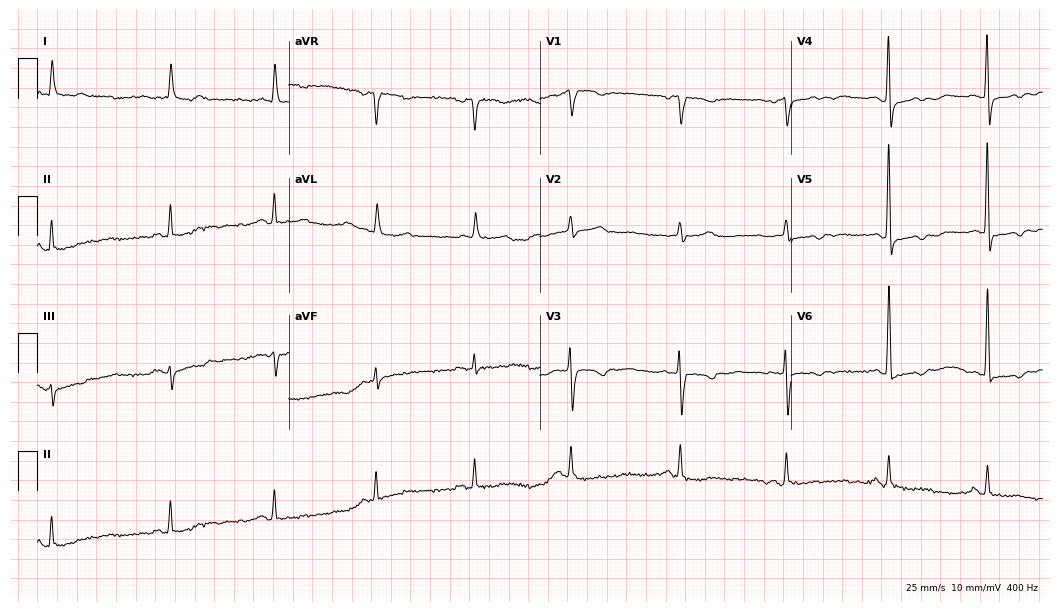
ECG (10.2-second recording at 400 Hz) — an 87-year-old woman. Screened for six findings — first-degree AV block, right bundle branch block, left bundle branch block, sinus bradycardia, atrial fibrillation, sinus tachycardia — none is recorded.